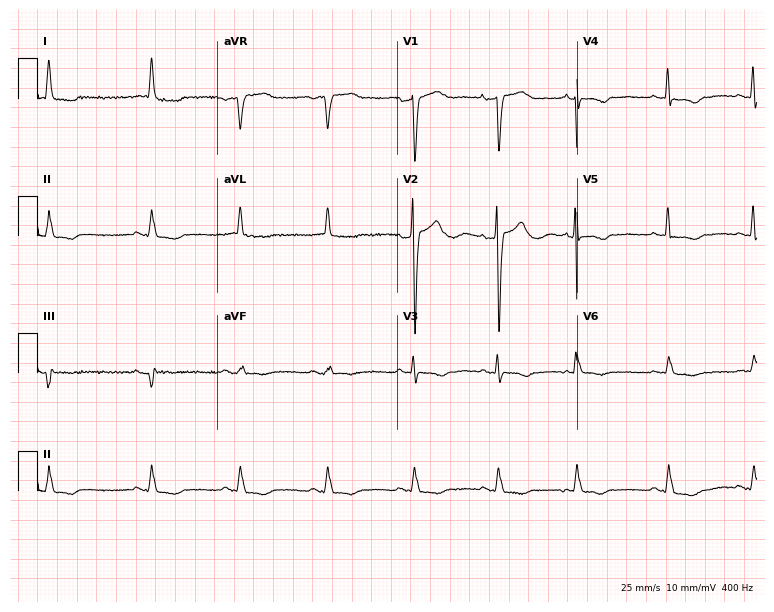
12-lead ECG (7.3-second recording at 400 Hz) from an 81-year-old female patient. Screened for six findings — first-degree AV block, right bundle branch block (RBBB), left bundle branch block (LBBB), sinus bradycardia, atrial fibrillation (AF), sinus tachycardia — none is recorded.